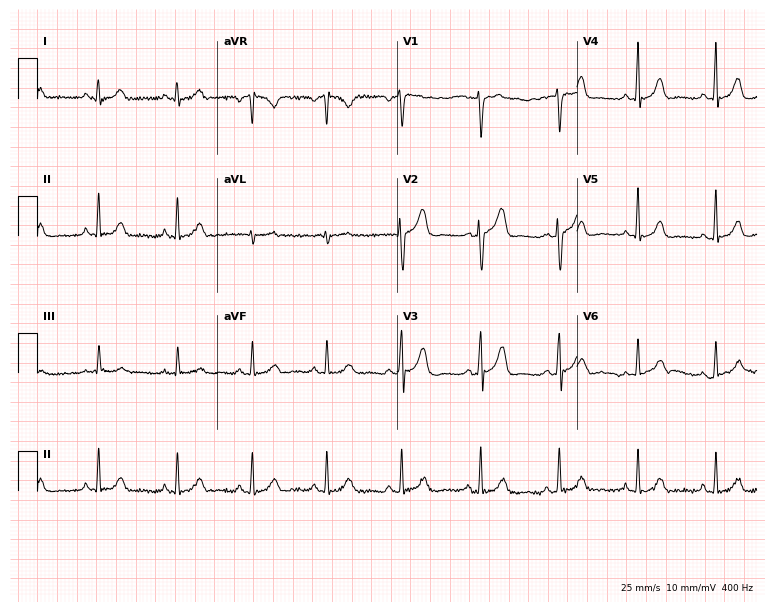
Resting 12-lead electrocardiogram. Patient: a female, 37 years old. Read as a normal ECG.